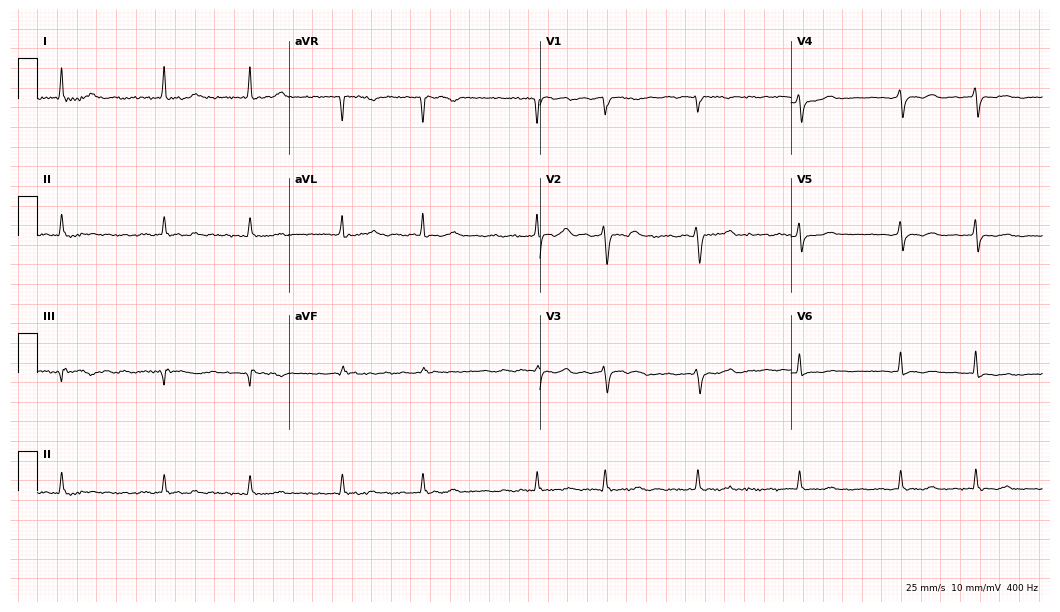
Standard 12-lead ECG recorded from a woman, 76 years old (10.2-second recording at 400 Hz). The tracing shows atrial fibrillation (AF).